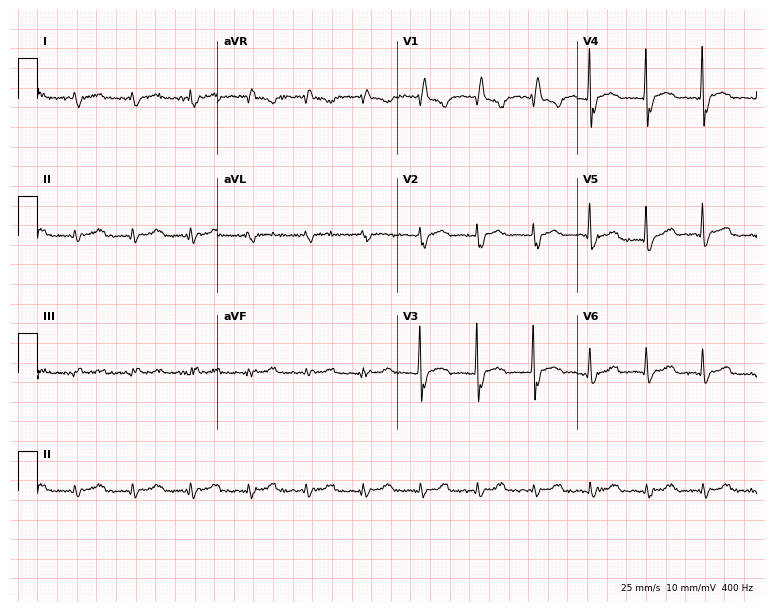
12-lead ECG from a man, 70 years old. Findings include right bundle branch block, sinus tachycardia (a sinus rate of 100 beats per minute or more).